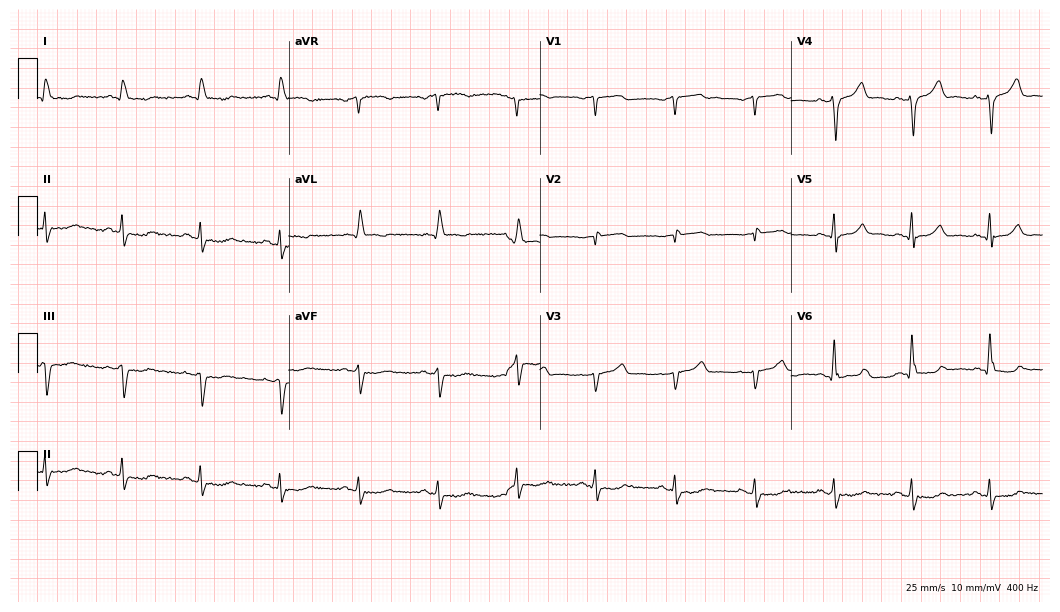
ECG (10.2-second recording at 400 Hz) — an 81-year-old male. Screened for six findings — first-degree AV block, right bundle branch block, left bundle branch block, sinus bradycardia, atrial fibrillation, sinus tachycardia — none is recorded.